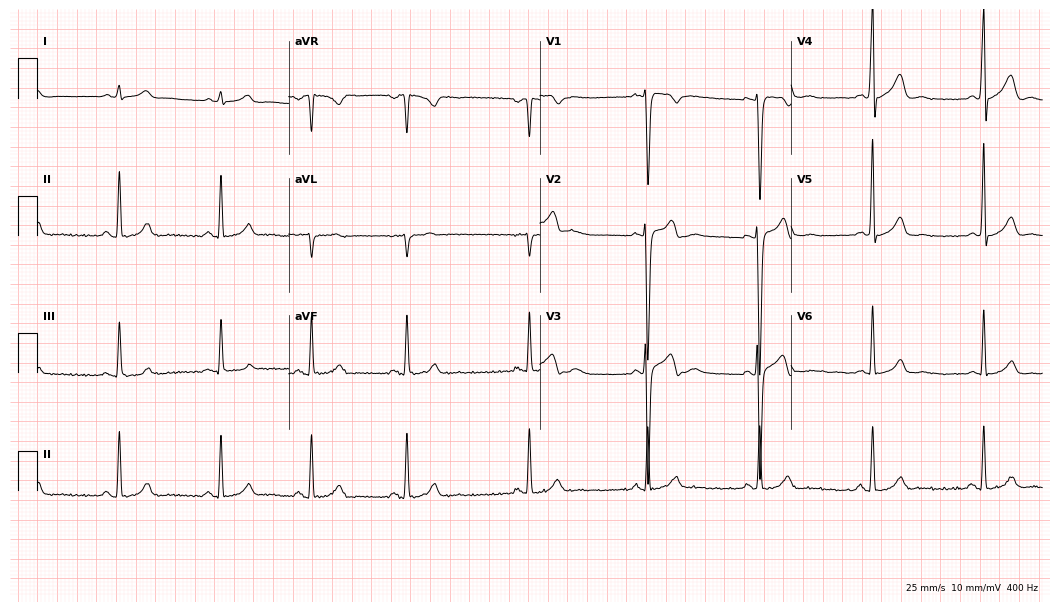
Standard 12-lead ECG recorded from a 26-year-old male patient (10.2-second recording at 400 Hz). Read as a normal ECG.